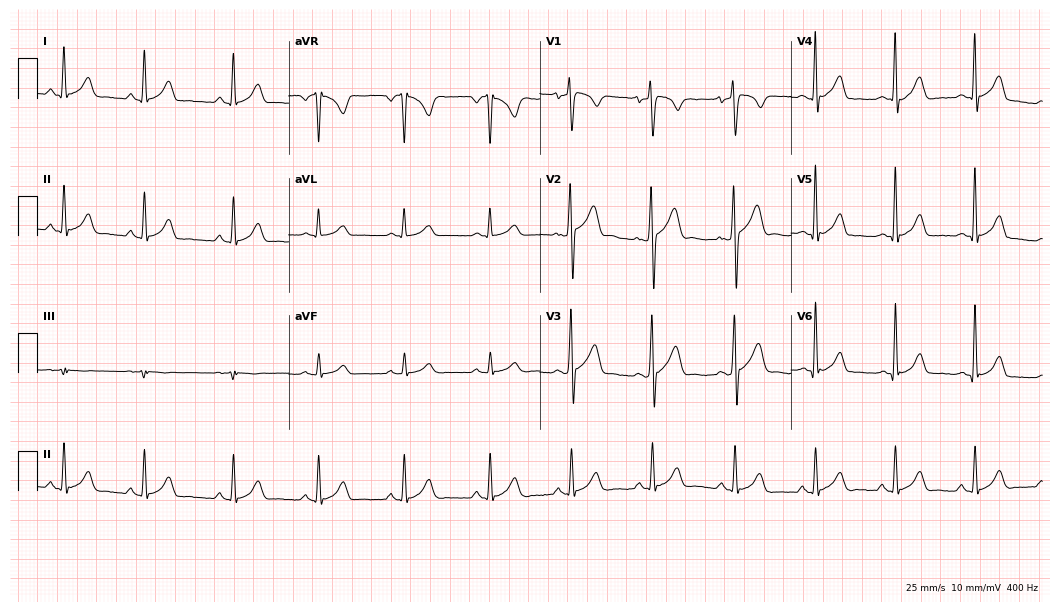
ECG (10.2-second recording at 400 Hz) — a male patient, 27 years old. Labelled as a normal ECG.